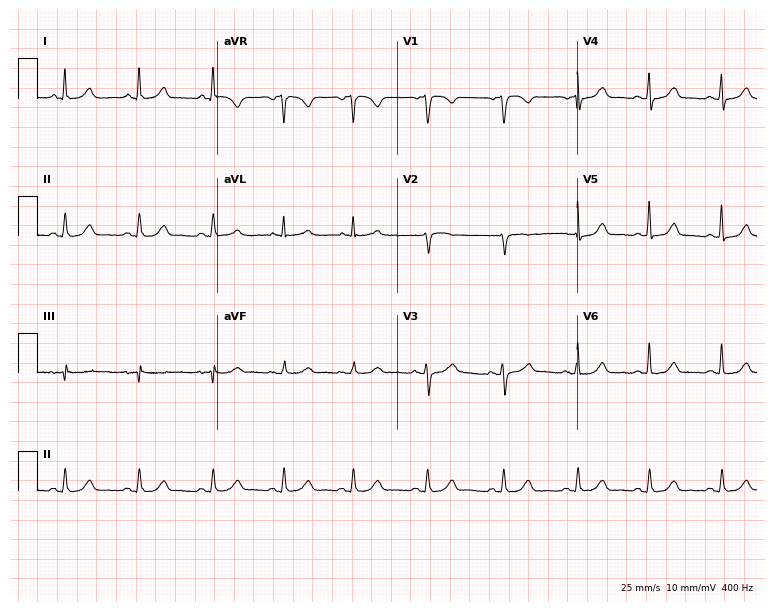
ECG (7.3-second recording at 400 Hz) — a woman, 35 years old. Labelled as a normal ECG.